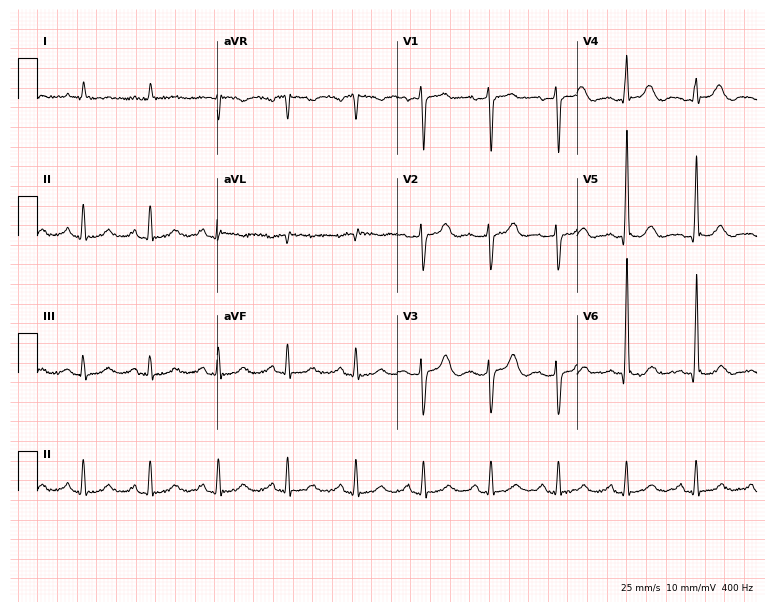
12-lead ECG (7.3-second recording at 400 Hz) from a male patient, 69 years old. Labelled as a normal ECG.